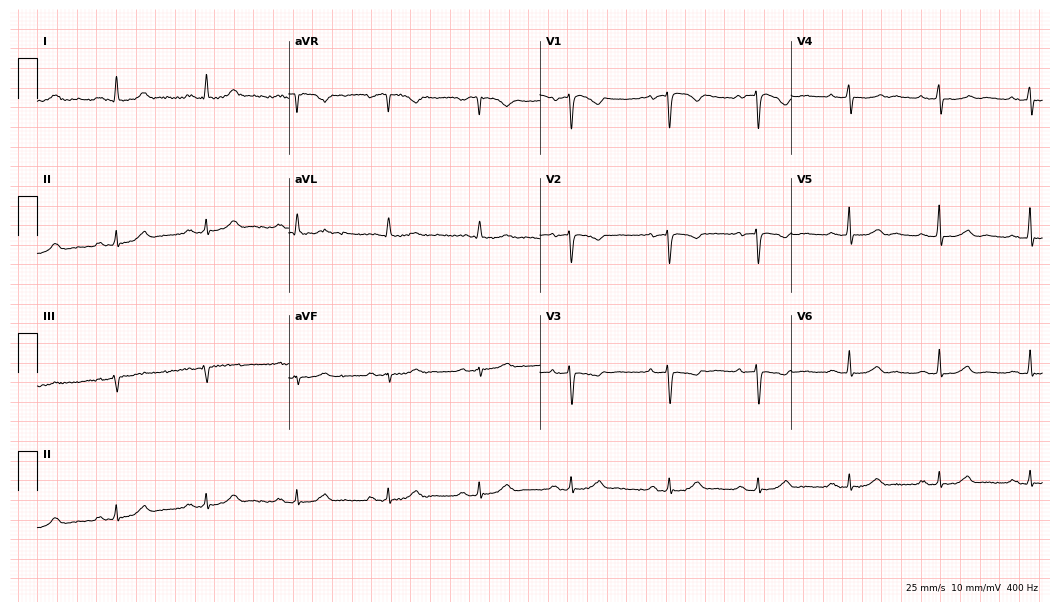
ECG (10.2-second recording at 400 Hz) — a female patient, 76 years old. Labelled as a normal ECG.